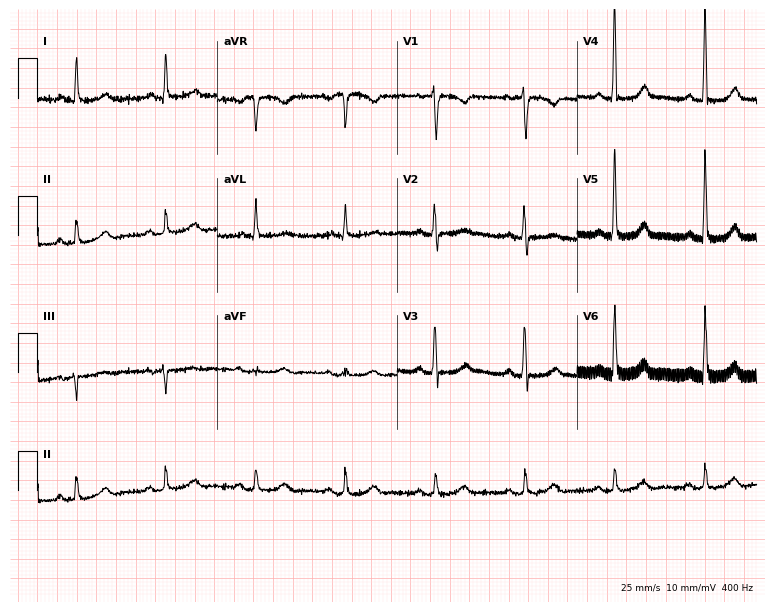
Resting 12-lead electrocardiogram. Patient: a male, 77 years old. None of these six findings is recorded: first-degree AV block, right bundle branch block, left bundle branch block, sinus bradycardia, atrial fibrillation, sinus tachycardia.